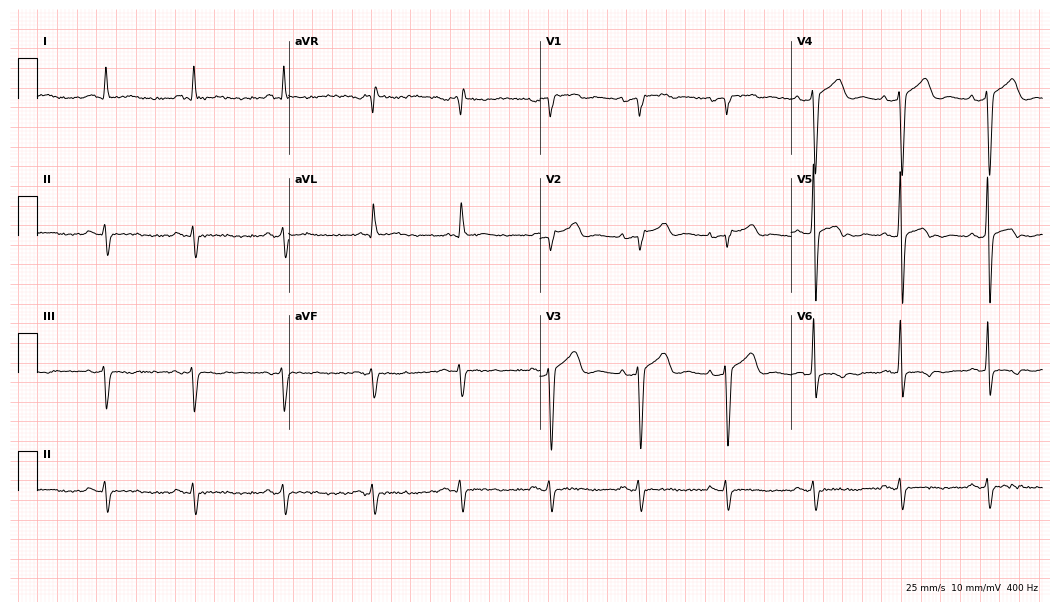
Standard 12-lead ECG recorded from a male, 46 years old. None of these six findings is recorded: first-degree AV block, right bundle branch block (RBBB), left bundle branch block (LBBB), sinus bradycardia, atrial fibrillation (AF), sinus tachycardia.